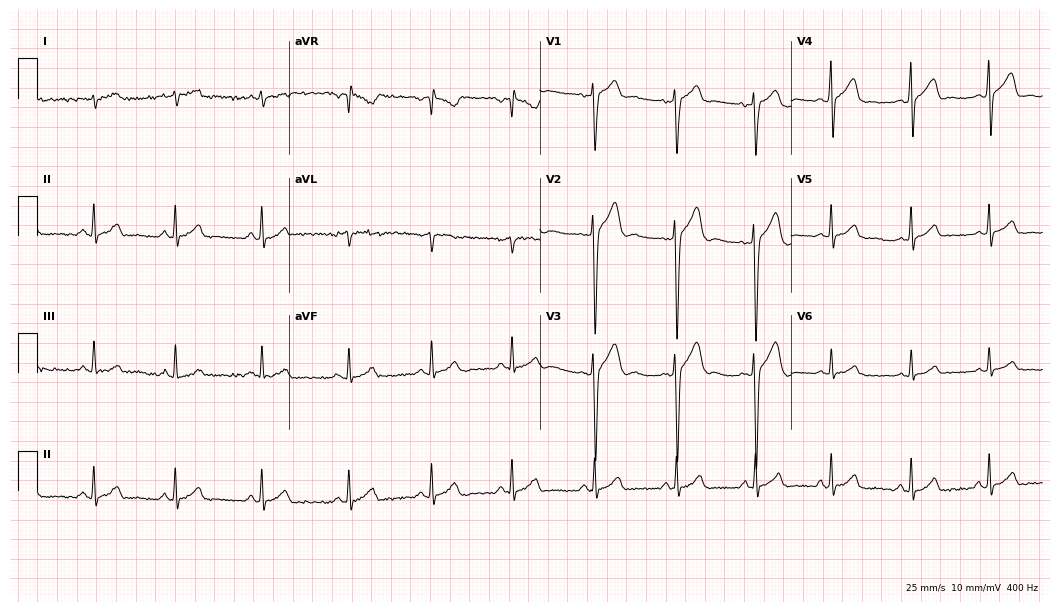
12-lead ECG from a 38-year-old male patient. Labelled as a normal ECG.